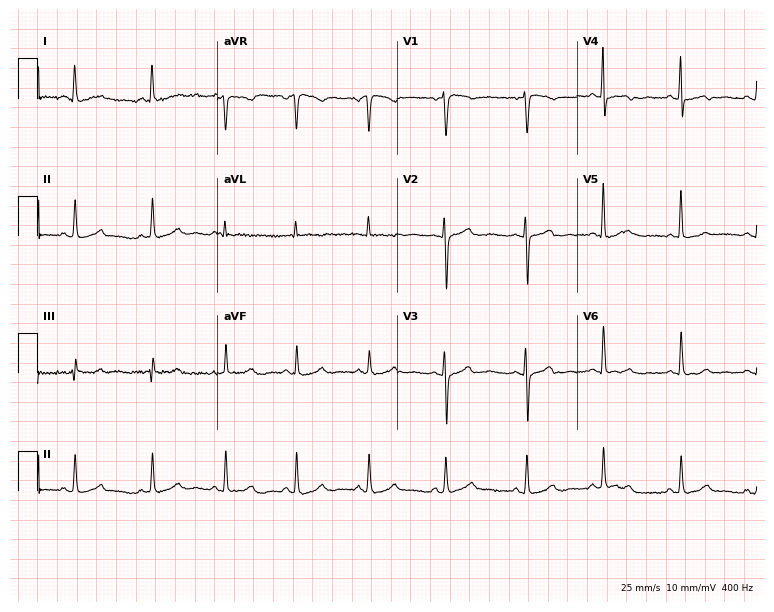
12-lead ECG from a female patient, 52 years old (7.3-second recording at 400 Hz). No first-degree AV block, right bundle branch block (RBBB), left bundle branch block (LBBB), sinus bradycardia, atrial fibrillation (AF) or sinus tachycardia recorded for this tracing. Findings outside these six are not listed.